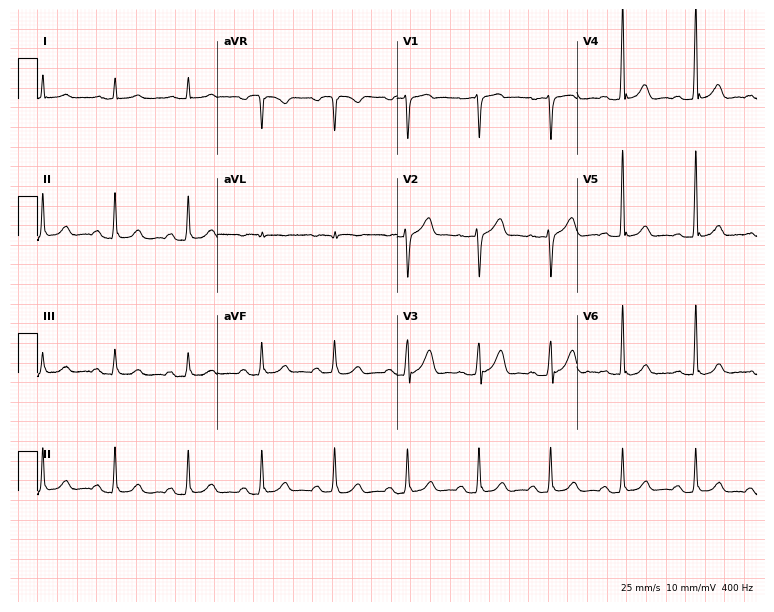
ECG — a 68-year-old male patient. Labelled as a normal ECG.